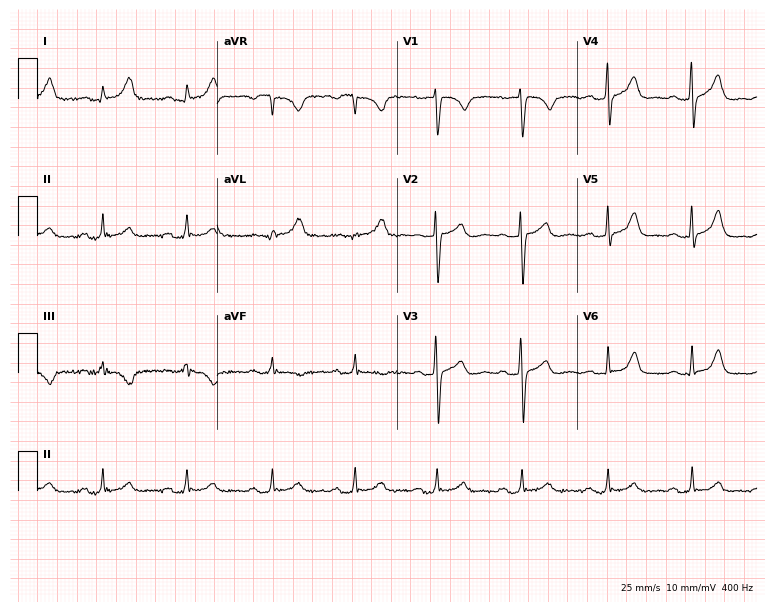
ECG — a 40-year-old woman. Labelled as a normal ECG.